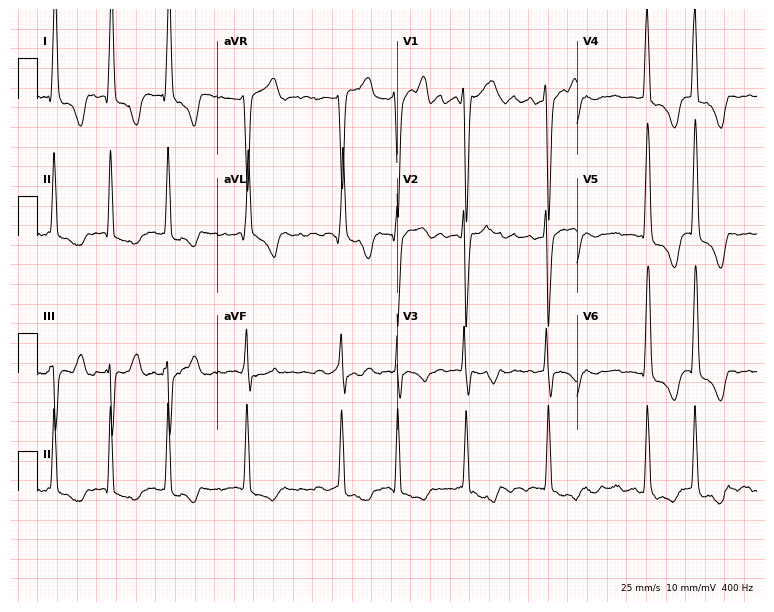
ECG (7.3-second recording at 400 Hz) — a 57-year-old woman. Findings include atrial fibrillation (AF).